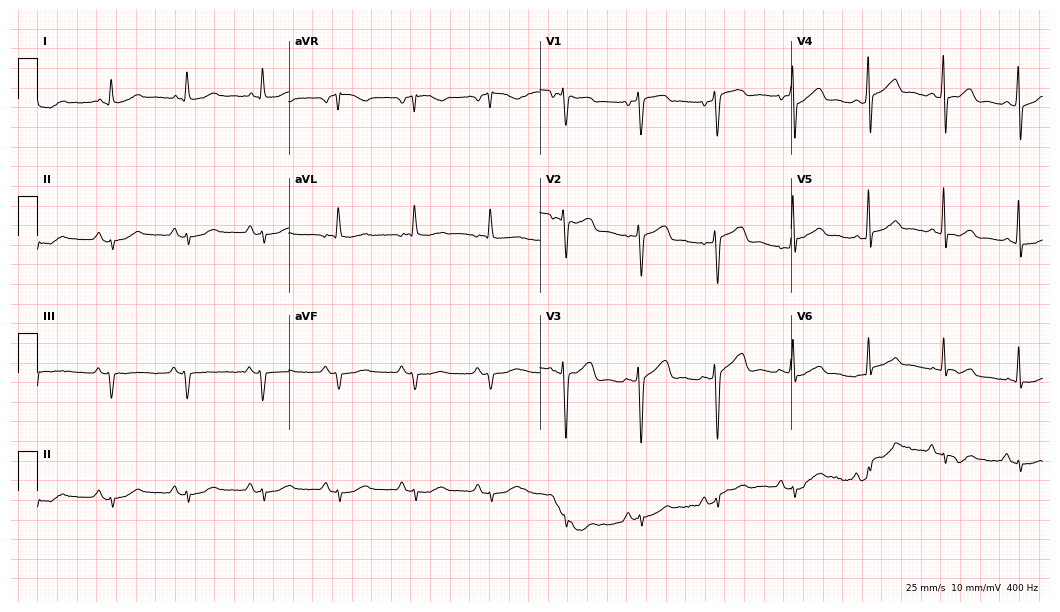
Resting 12-lead electrocardiogram (10.2-second recording at 400 Hz). Patient: a female, 75 years old. None of these six findings is recorded: first-degree AV block, right bundle branch block, left bundle branch block, sinus bradycardia, atrial fibrillation, sinus tachycardia. Only these six findings were labelled.